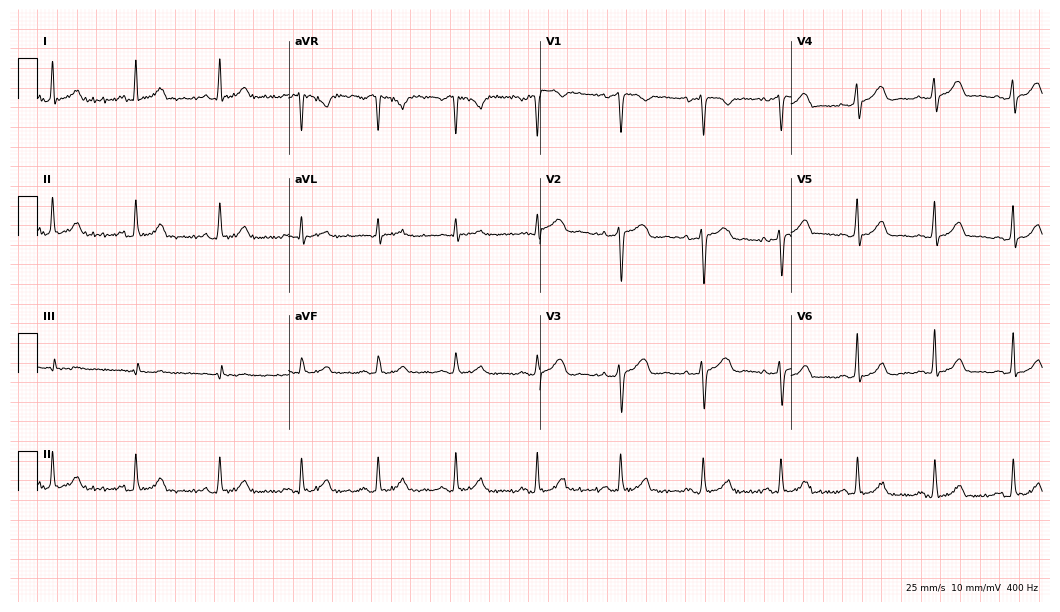
Standard 12-lead ECG recorded from a 42-year-old woman (10.2-second recording at 400 Hz). Read as a normal ECG.